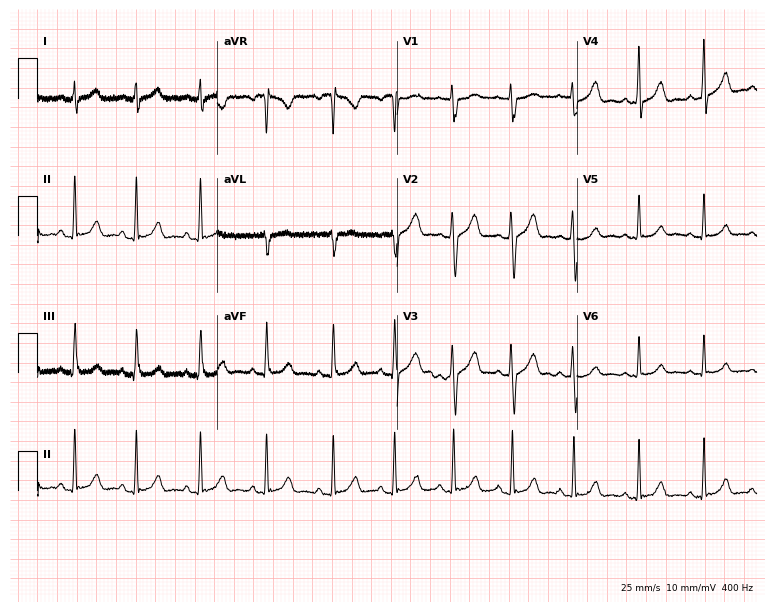
12-lead ECG from a woman, 22 years old (7.3-second recording at 400 Hz). No first-degree AV block, right bundle branch block, left bundle branch block, sinus bradycardia, atrial fibrillation or sinus tachycardia recorded for this tracing. Only these six findings were labelled.